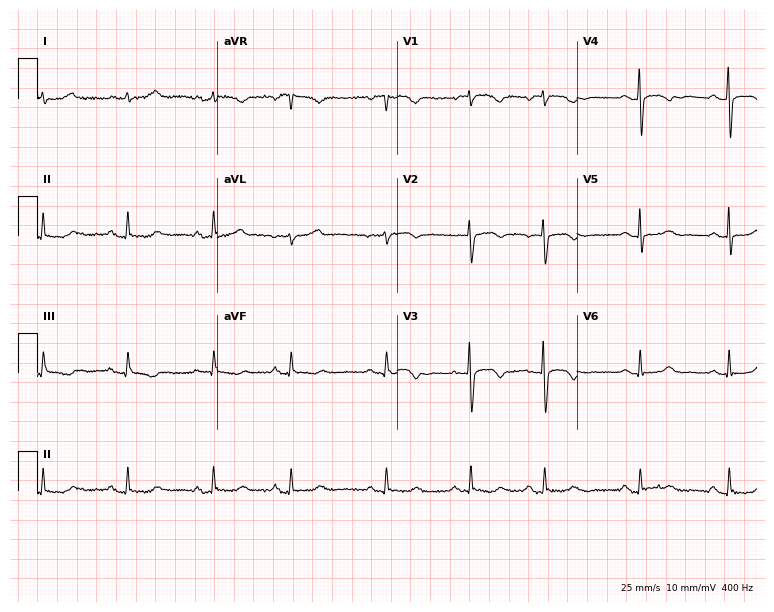
12-lead ECG from a 61-year-old female patient (7.3-second recording at 400 Hz). No first-degree AV block, right bundle branch block, left bundle branch block, sinus bradycardia, atrial fibrillation or sinus tachycardia recorded for this tracing.